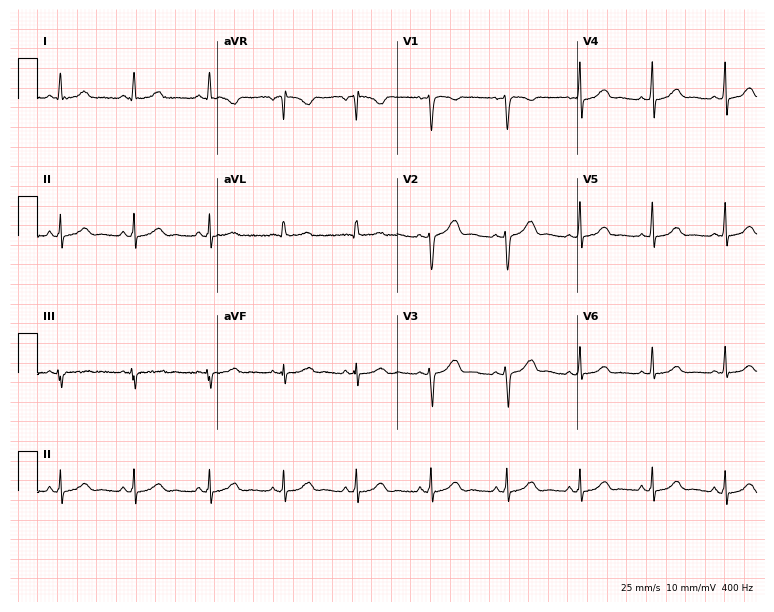
12-lead ECG (7.3-second recording at 400 Hz) from a 32-year-old female. Labelled as a normal ECG.